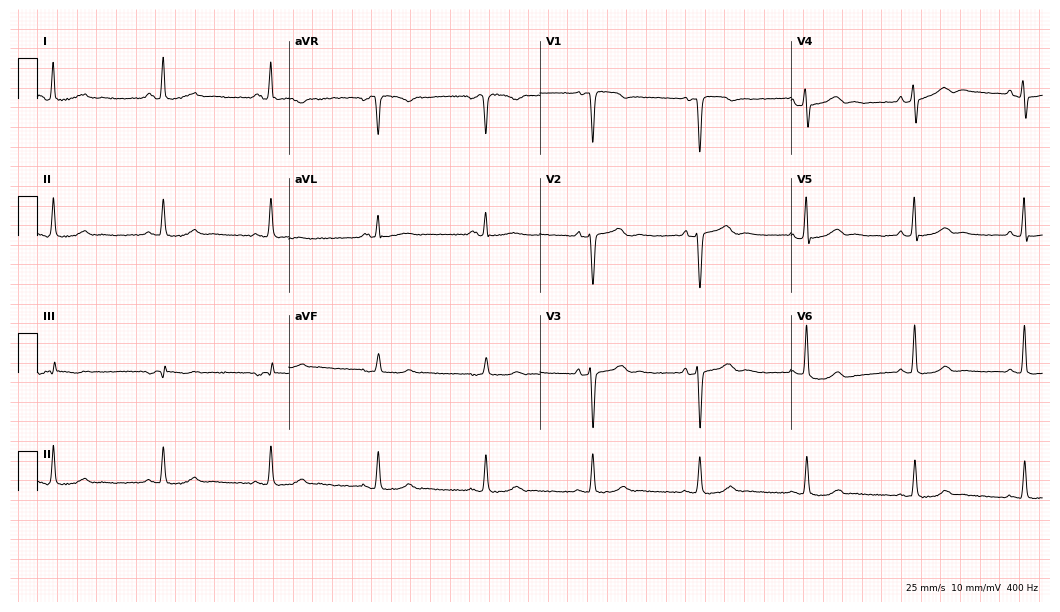
Electrocardiogram, a male, 64 years old. Of the six screened findings (first-degree AV block, right bundle branch block (RBBB), left bundle branch block (LBBB), sinus bradycardia, atrial fibrillation (AF), sinus tachycardia), none is recorded.